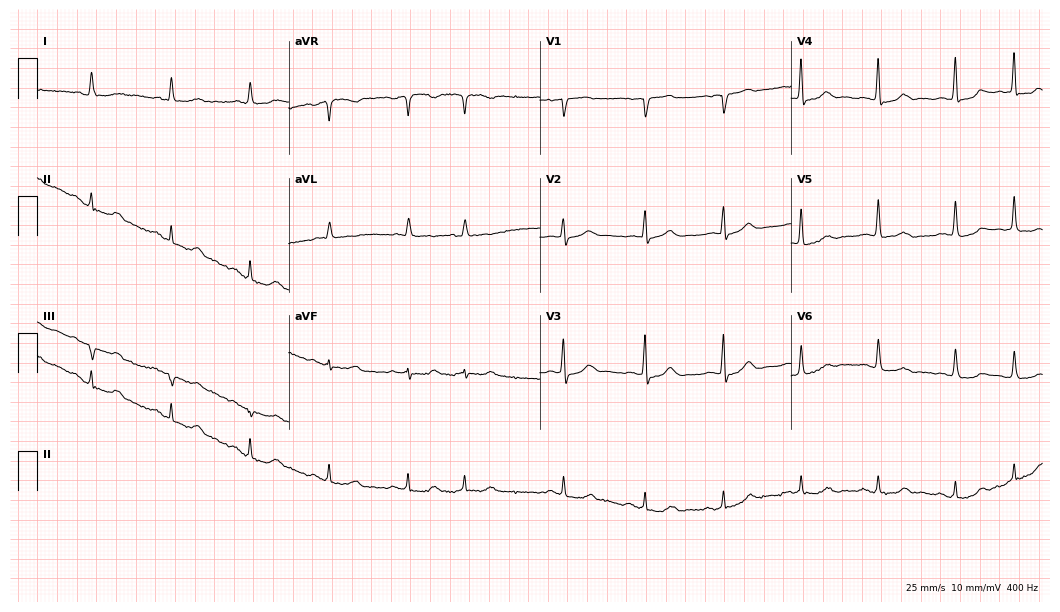
Resting 12-lead electrocardiogram. Patient: a man, 86 years old. None of these six findings is recorded: first-degree AV block, right bundle branch block (RBBB), left bundle branch block (LBBB), sinus bradycardia, atrial fibrillation (AF), sinus tachycardia.